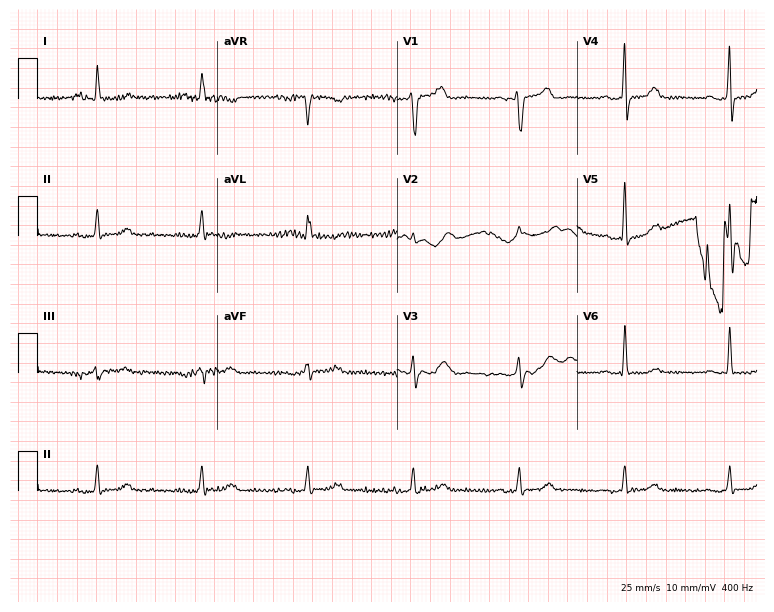
12-lead ECG from a 73-year-old male patient. No first-degree AV block, right bundle branch block (RBBB), left bundle branch block (LBBB), sinus bradycardia, atrial fibrillation (AF) or sinus tachycardia recorded for this tracing.